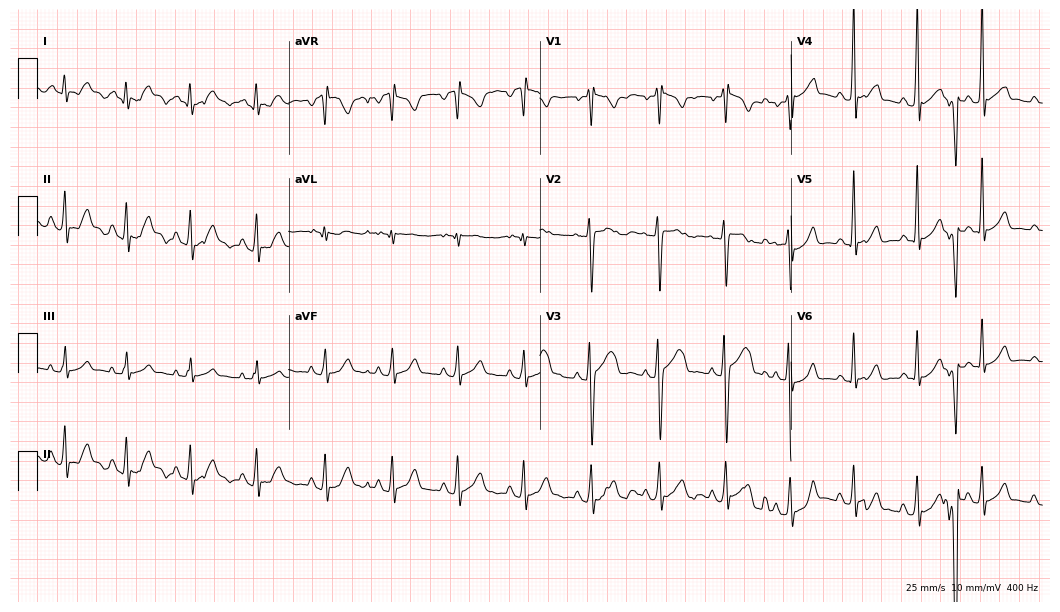
12-lead ECG from a male, 18 years old. Labelled as a normal ECG.